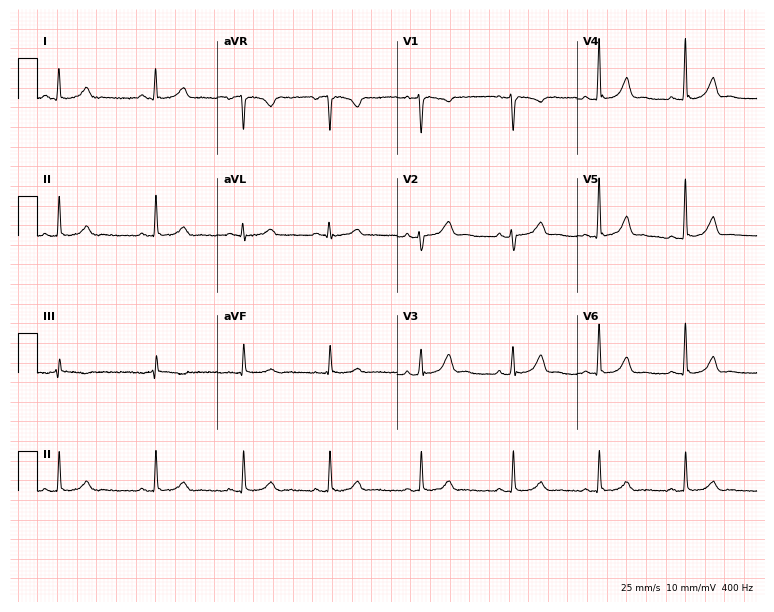
12-lead ECG from a female patient, 40 years old. Labelled as a normal ECG.